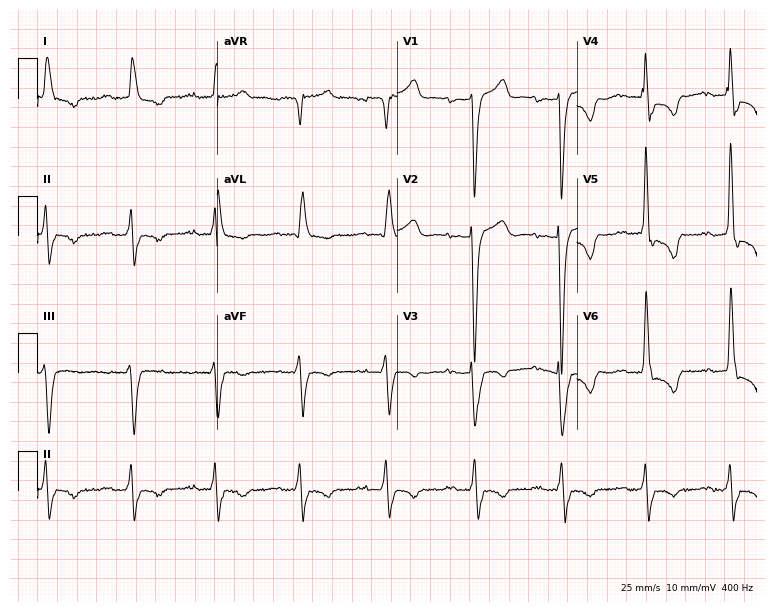
12-lead ECG from a 73-year-old man. Shows left bundle branch block.